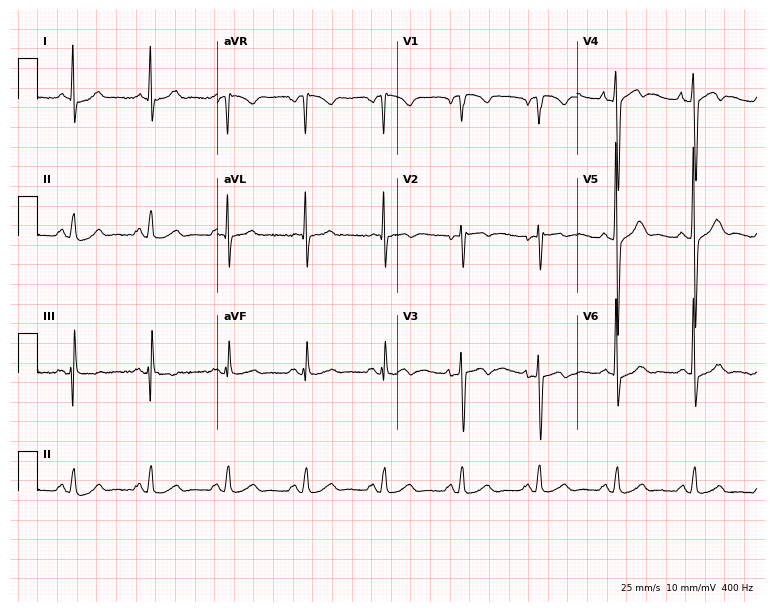
ECG (7.3-second recording at 400 Hz) — a male, 65 years old. Screened for six findings — first-degree AV block, right bundle branch block, left bundle branch block, sinus bradycardia, atrial fibrillation, sinus tachycardia — none is recorded.